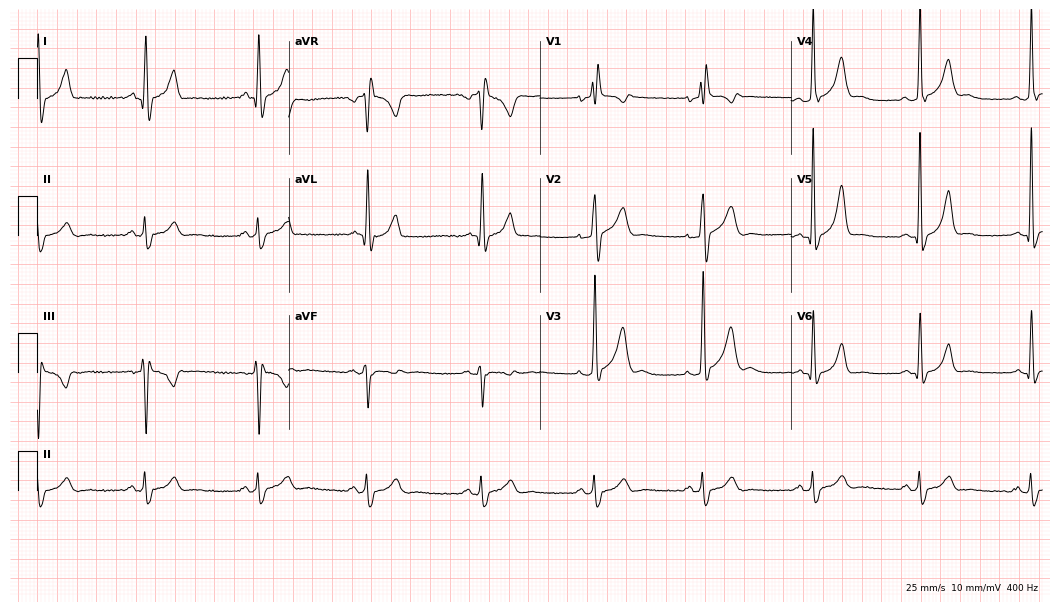
12-lead ECG from a man, 42 years old (10.2-second recording at 400 Hz). Shows right bundle branch block.